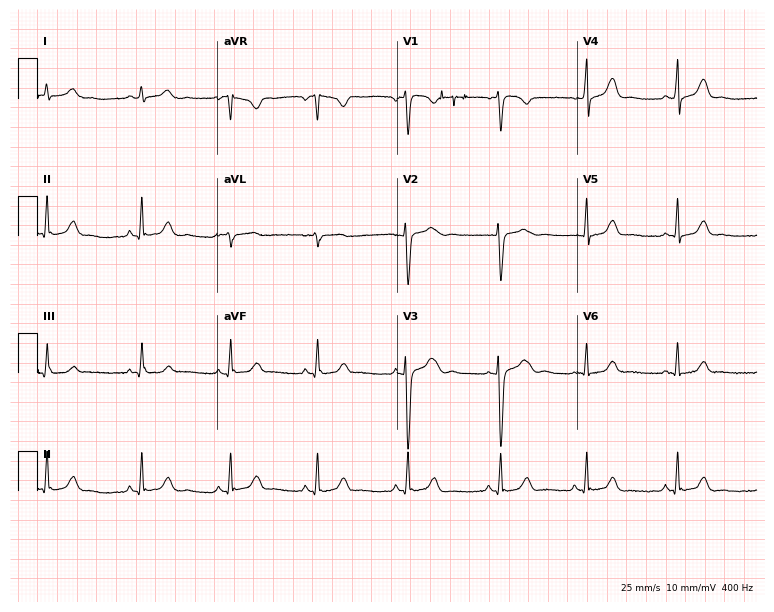
Electrocardiogram, a 37-year-old female patient. Overall reading on record: normal ECG.